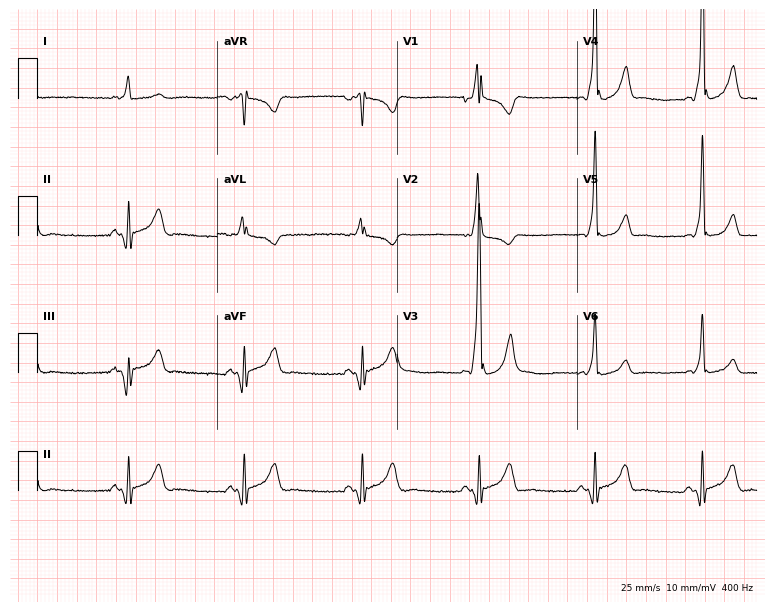
12-lead ECG from a male, 37 years old. No first-degree AV block, right bundle branch block, left bundle branch block, sinus bradycardia, atrial fibrillation or sinus tachycardia recorded for this tracing.